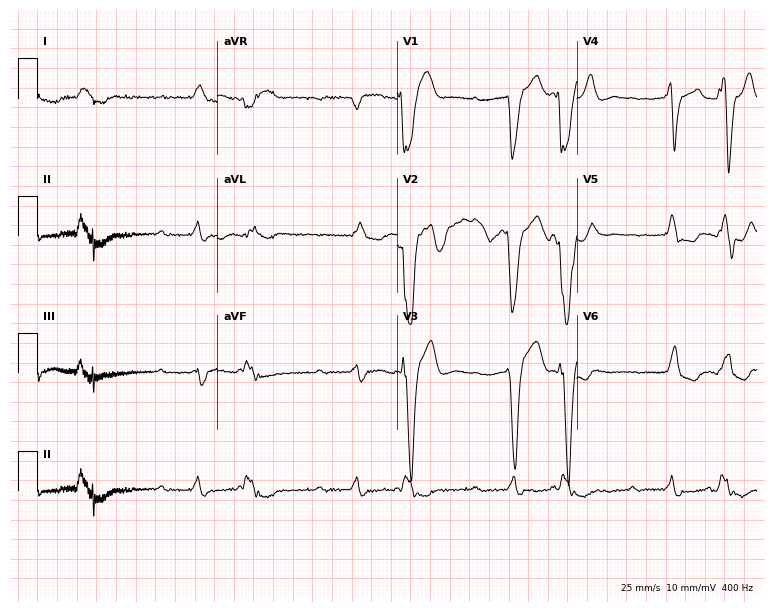
12-lead ECG (7.3-second recording at 400 Hz) from an 84-year-old man. Findings include left bundle branch block.